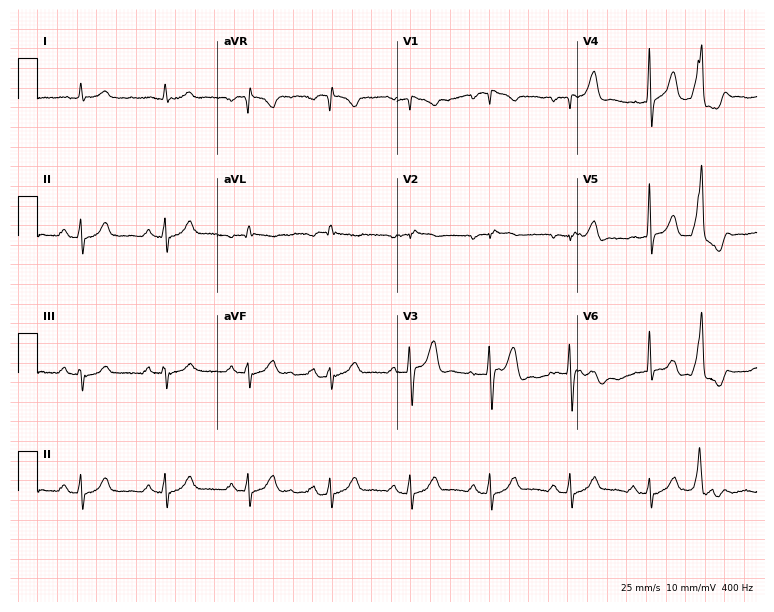
ECG — a male patient, 70 years old. Screened for six findings — first-degree AV block, right bundle branch block (RBBB), left bundle branch block (LBBB), sinus bradycardia, atrial fibrillation (AF), sinus tachycardia — none is recorded. Other findings, if any, are not listed.